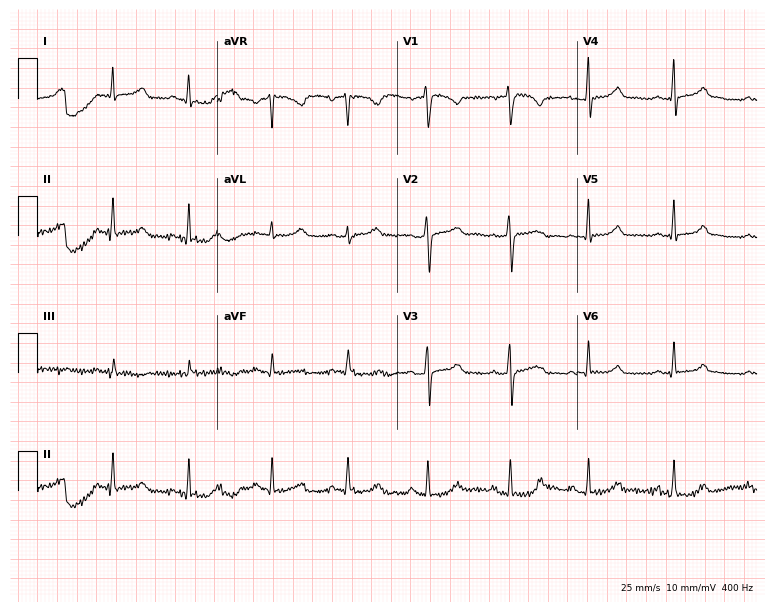
Standard 12-lead ECG recorded from a female, 32 years old (7.3-second recording at 400 Hz). None of these six findings is recorded: first-degree AV block, right bundle branch block (RBBB), left bundle branch block (LBBB), sinus bradycardia, atrial fibrillation (AF), sinus tachycardia.